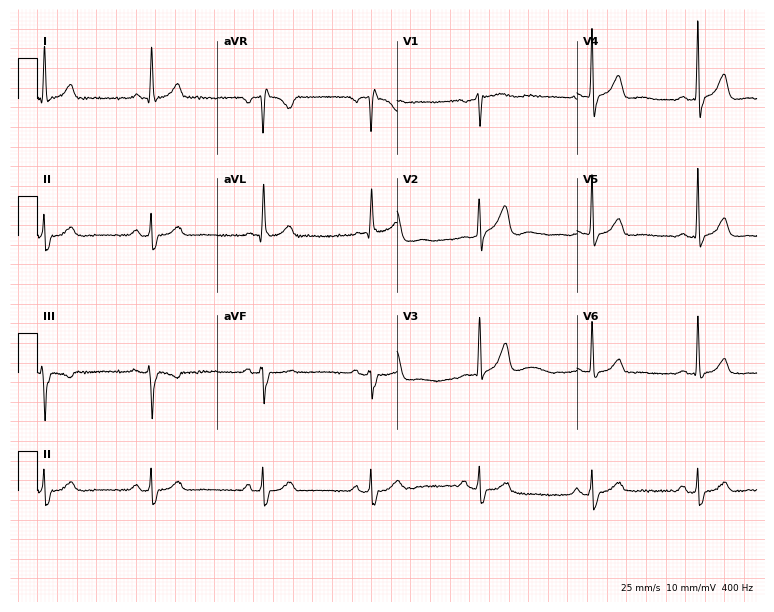
ECG — a 74-year-old female. Screened for six findings — first-degree AV block, right bundle branch block, left bundle branch block, sinus bradycardia, atrial fibrillation, sinus tachycardia — none is recorded.